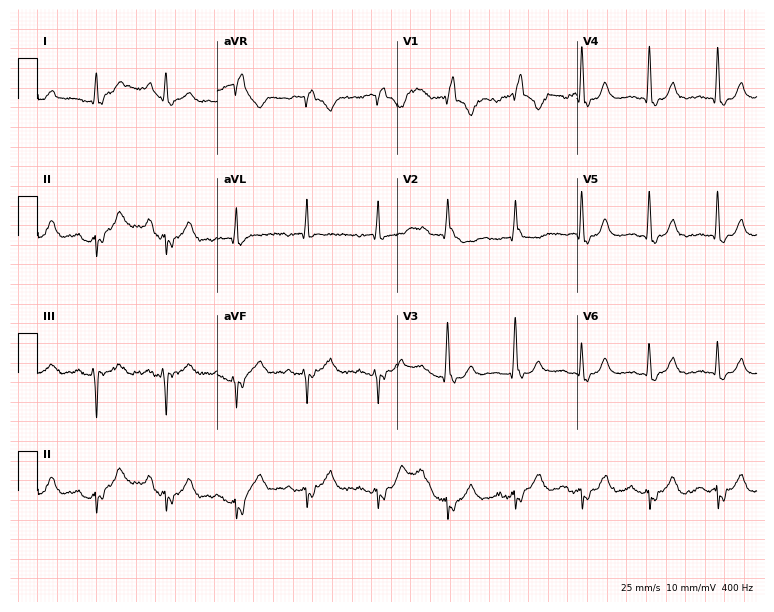
12-lead ECG (7.3-second recording at 400 Hz) from a male, 77 years old. Findings include right bundle branch block.